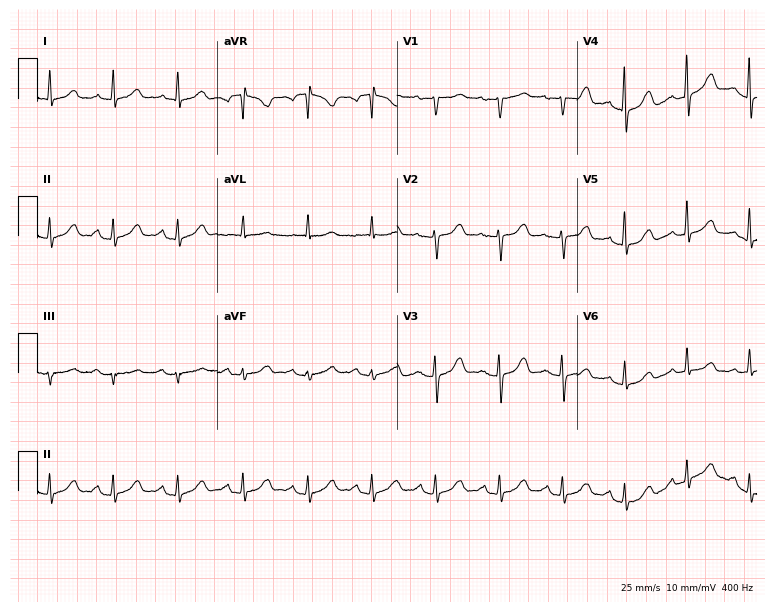
12-lead ECG from a 71-year-old female patient. Recorded interpretation: within normal limits.